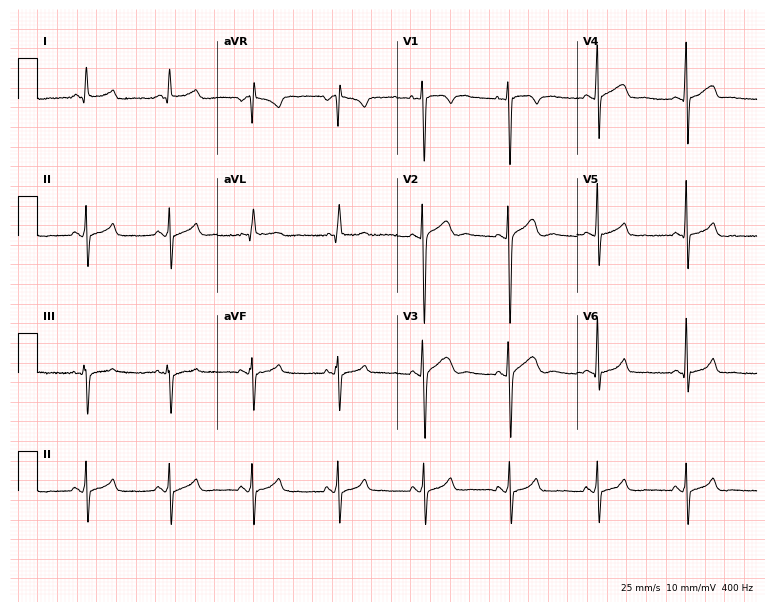
12-lead ECG from a 21-year-old male. Screened for six findings — first-degree AV block, right bundle branch block (RBBB), left bundle branch block (LBBB), sinus bradycardia, atrial fibrillation (AF), sinus tachycardia — none is recorded. Other findings, if any, are not listed.